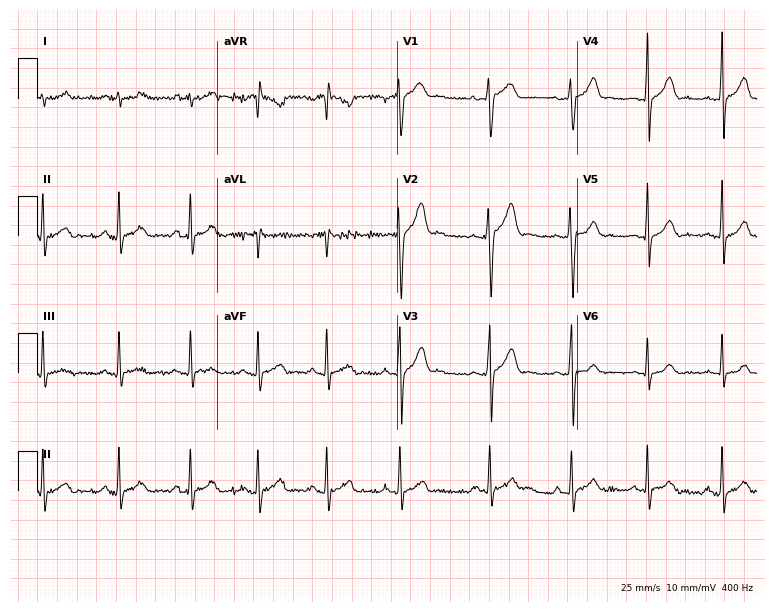
12-lead ECG from a male, 19 years old (7.3-second recording at 400 Hz). No first-degree AV block, right bundle branch block, left bundle branch block, sinus bradycardia, atrial fibrillation or sinus tachycardia recorded for this tracing.